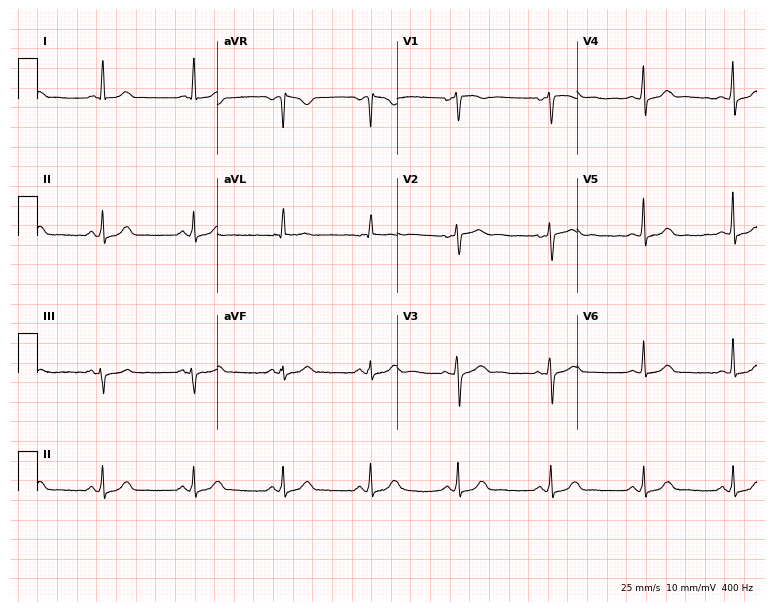
12-lead ECG from a 51-year-old female patient. No first-degree AV block, right bundle branch block, left bundle branch block, sinus bradycardia, atrial fibrillation or sinus tachycardia recorded for this tracing.